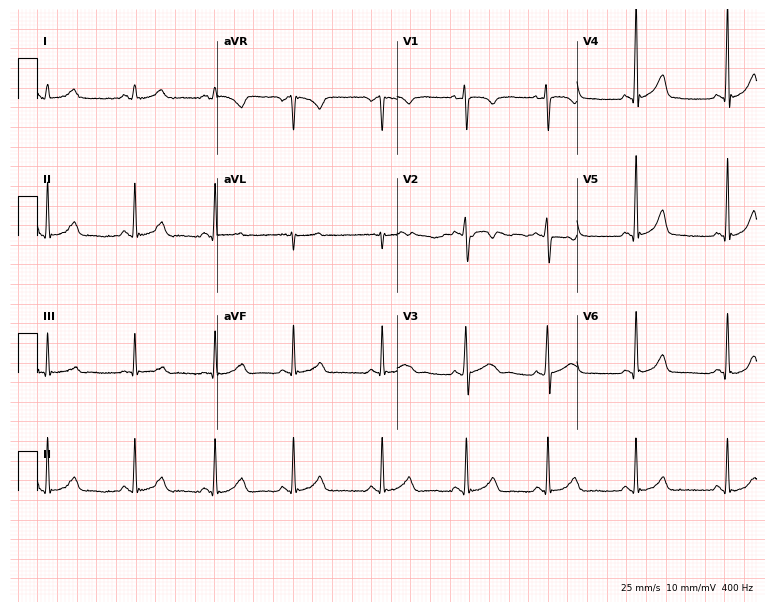
Electrocardiogram (7.3-second recording at 400 Hz), a 17-year-old female patient. Overall reading on record: normal ECG.